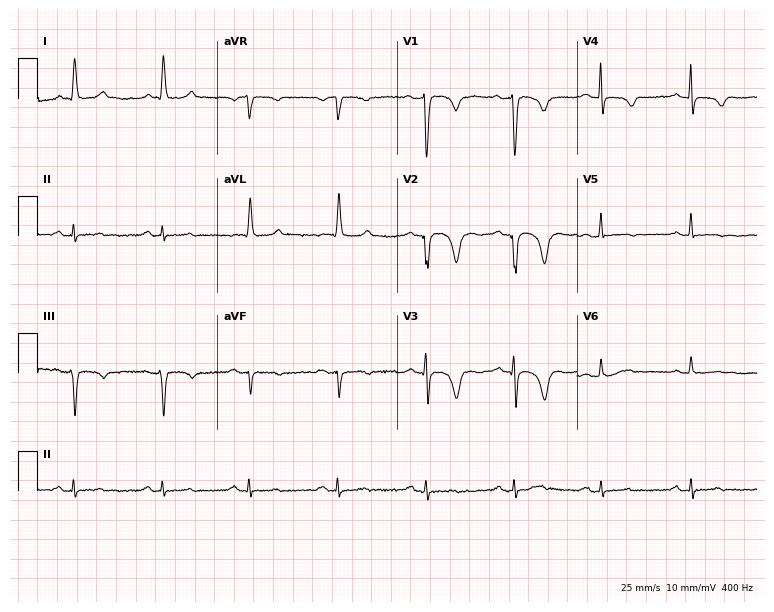
ECG (7.3-second recording at 400 Hz) — a 70-year-old female patient. Screened for six findings — first-degree AV block, right bundle branch block (RBBB), left bundle branch block (LBBB), sinus bradycardia, atrial fibrillation (AF), sinus tachycardia — none is recorded. Only these six findings were labelled.